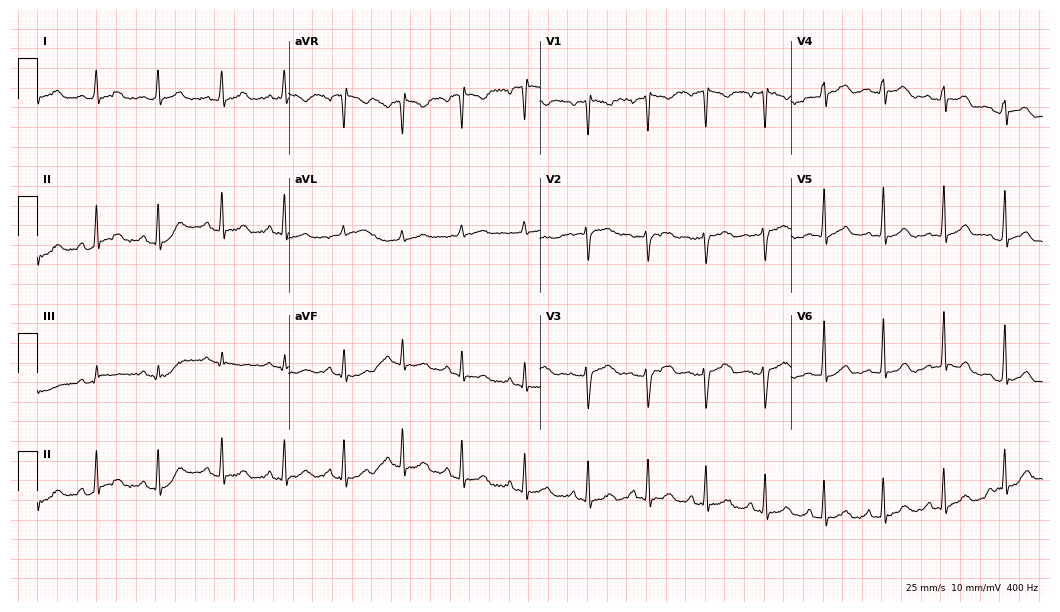
12-lead ECG (10.2-second recording at 400 Hz) from a 29-year-old female. Labelled as a normal ECG.